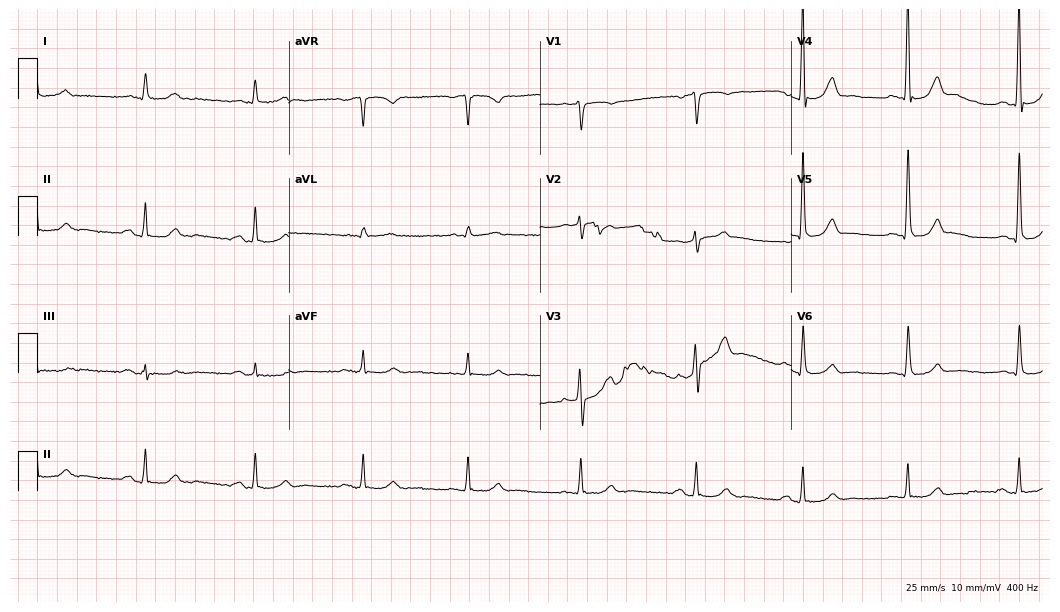
Resting 12-lead electrocardiogram (10.2-second recording at 400 Hz). Patient: a 71-year-old man. Read as a normal ECG.